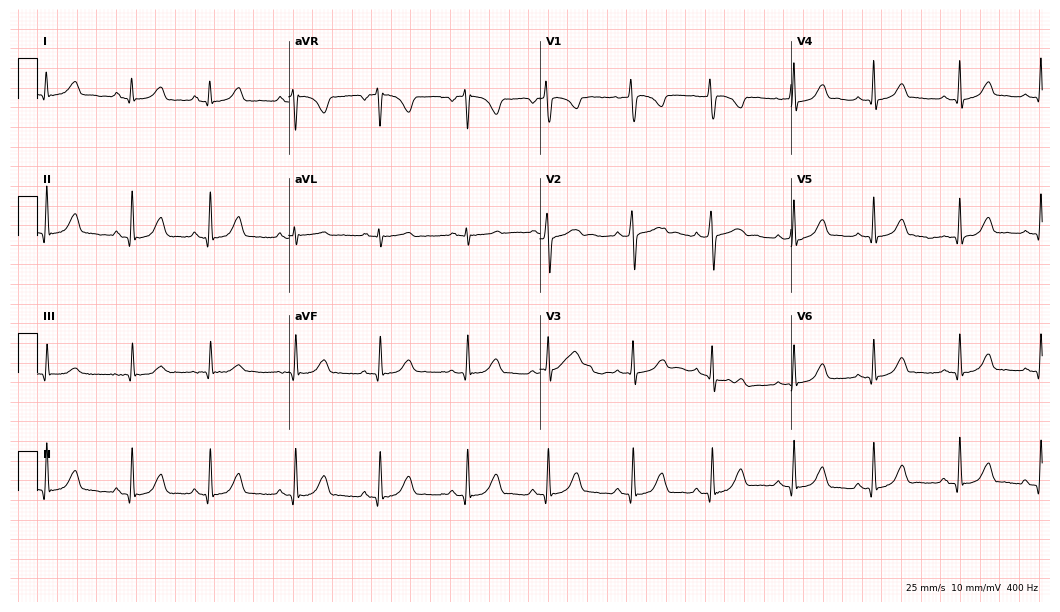
12-lead ECG from a 19-year-old woman (10.2-second recording at 400 Hz). Recorded interpretation: within normal limits.